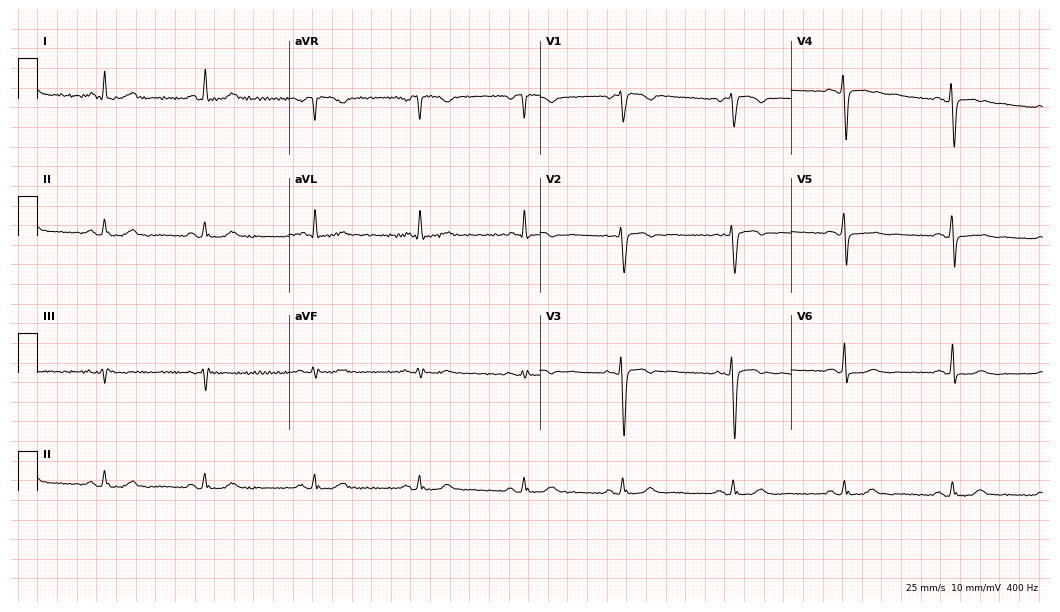
12-lead ECG from a female, 52 years old (10.2-second recording at 400 Hz). Recorded interpretation: within normal limits.